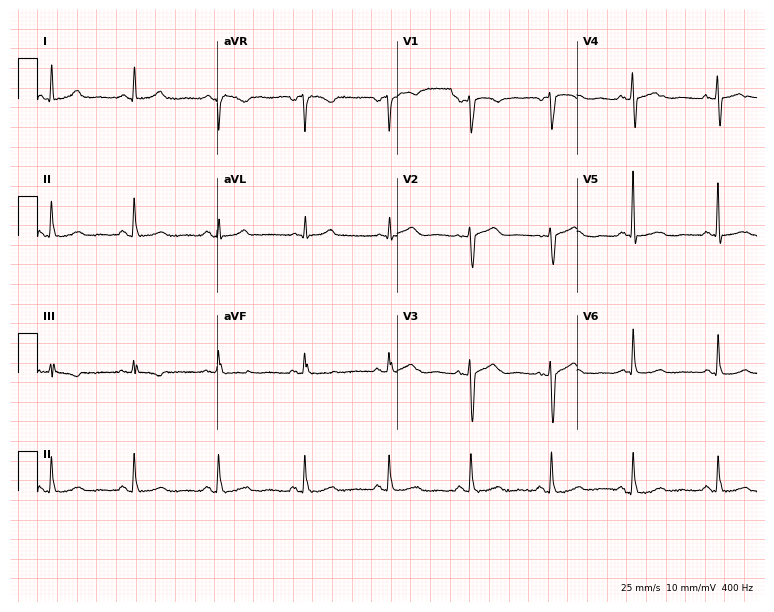
ECG — a 49-year-old female. Labelled as a normal ECG.